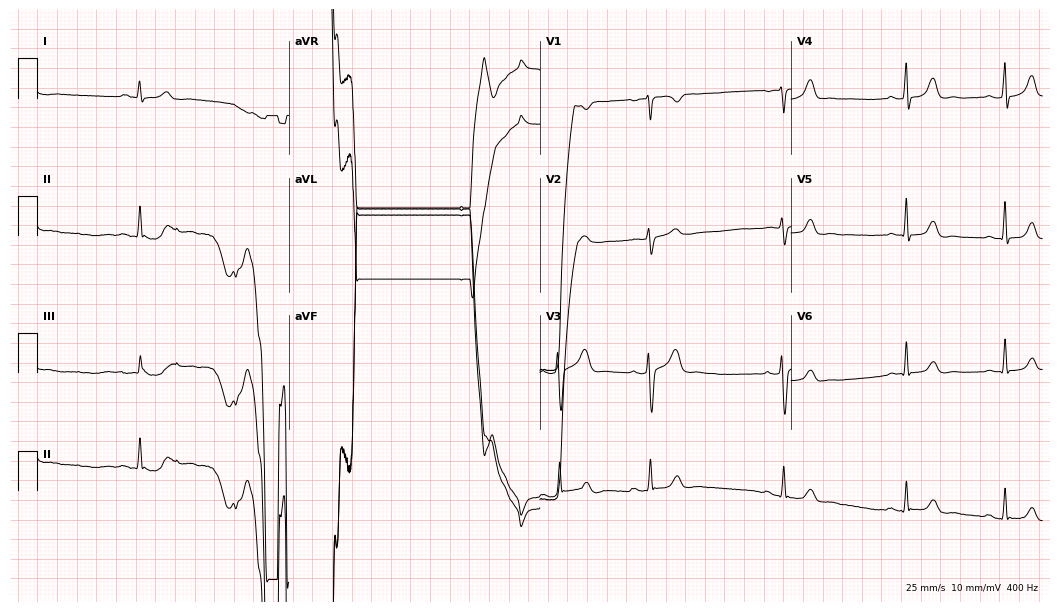
ECG (10.2-second recording at 400 Hz) — a 23-year-old woman. Screened for six findings — first-degree AV block, right bundle branch block, left bundle branch block, sinus bradycardia, atrial fibrillation, sinus tachycardia — none is recorded.